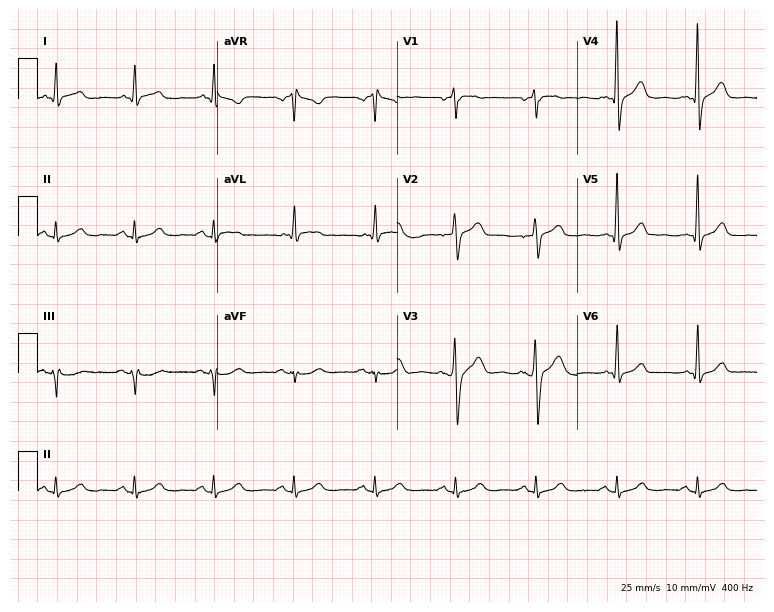
12-lead ECG from a 65-year-old man. No first-degree AV block, right bundle branch block (RBBB), left bundle branch block (LBBB), sinus bradycardia, atrial fibrillation (AF) or sinus tachycardia recorded for this tracing. Other findings, if any, are not listed.